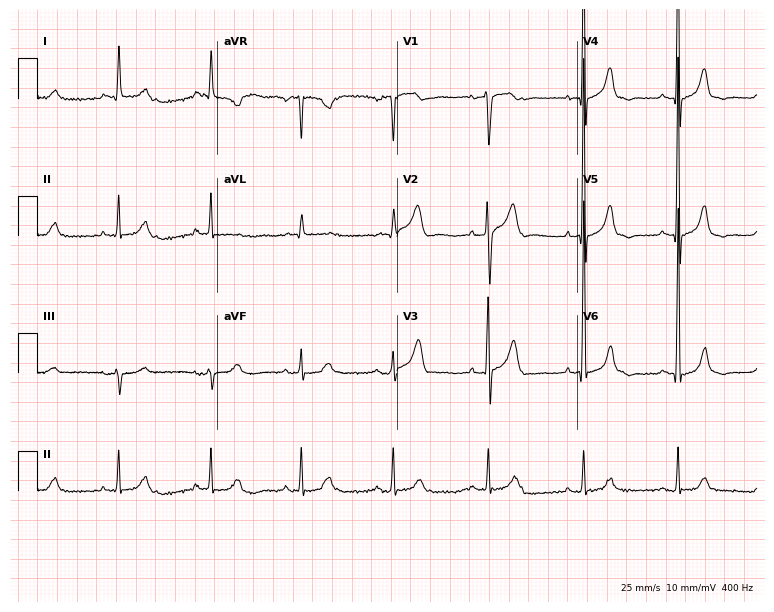
12-lead ECG from a male patient, 84 years old (7.3-second recording at 400 Hz). Recorded interpretation: within normal limits.